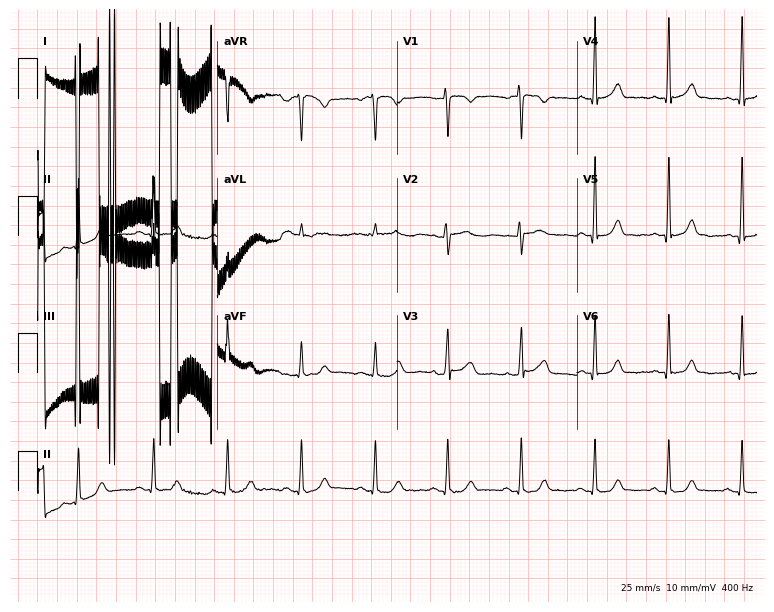
Resting 12-lead electrocardiogram (7.3-second recording at 400 Hz). Patient: a female, 43 years old. Read as a normal ECG.